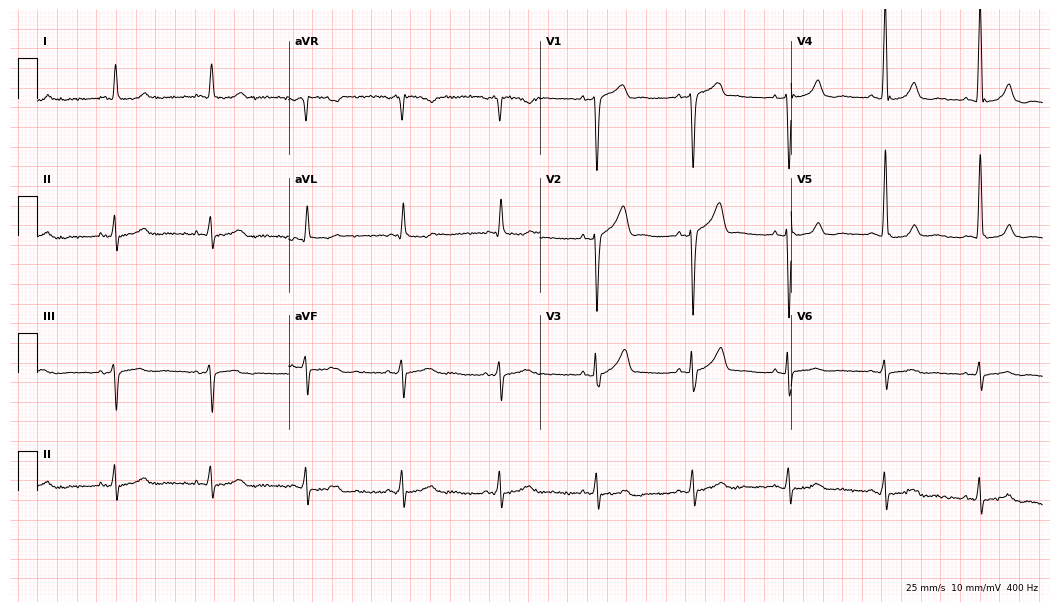
Electrocardiogram (10.2-second recording at 400 Hz), a 79-year-old woman. Overall reading on record: normal ECG.